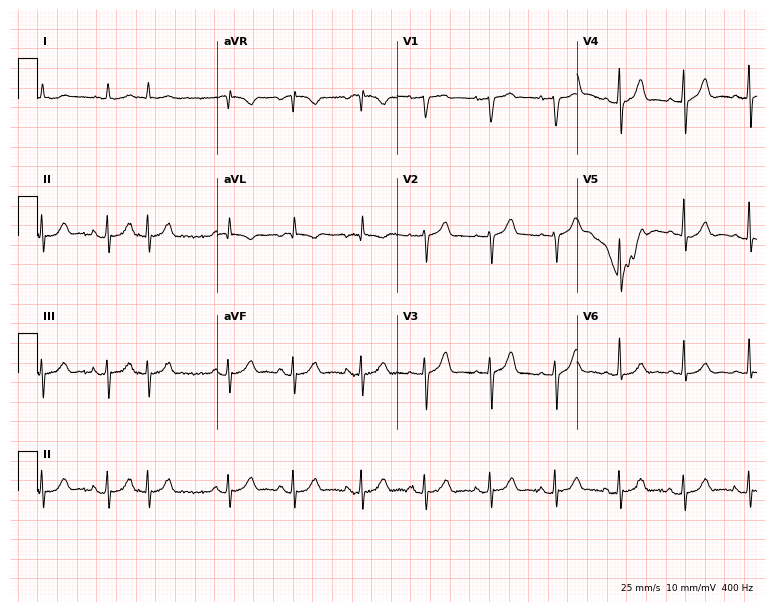
12-lead ECG from an 84-year-old male patient (7.3-second recording at 400 Hz). No first-degree AV block, right bundle branch block, left bundle branch block, sinus bradycardia, atrial fibrillation or sinus tachycardia recorded for this tracing. Findings outside these six are not listed.